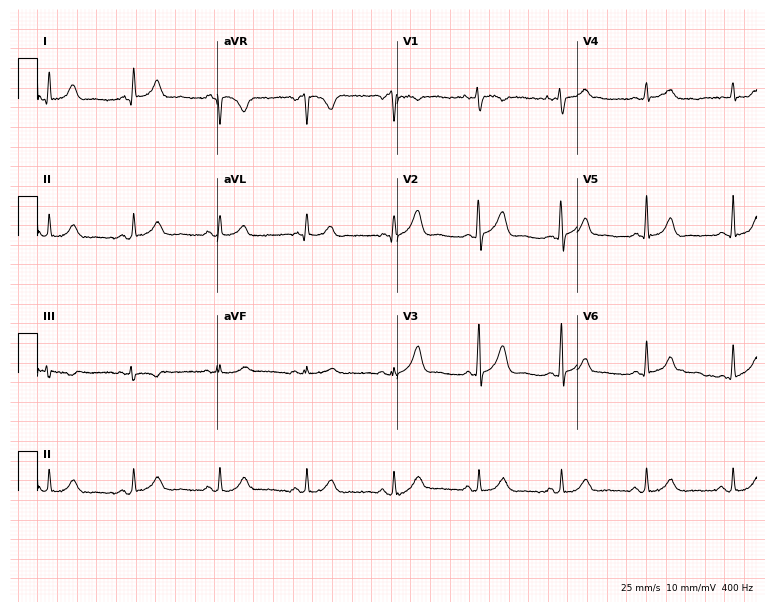
Standard 12-lead ECG recorded from a female patient, 33 years old (7.3-second recording at 400 Hz). Read as a normal ECG.